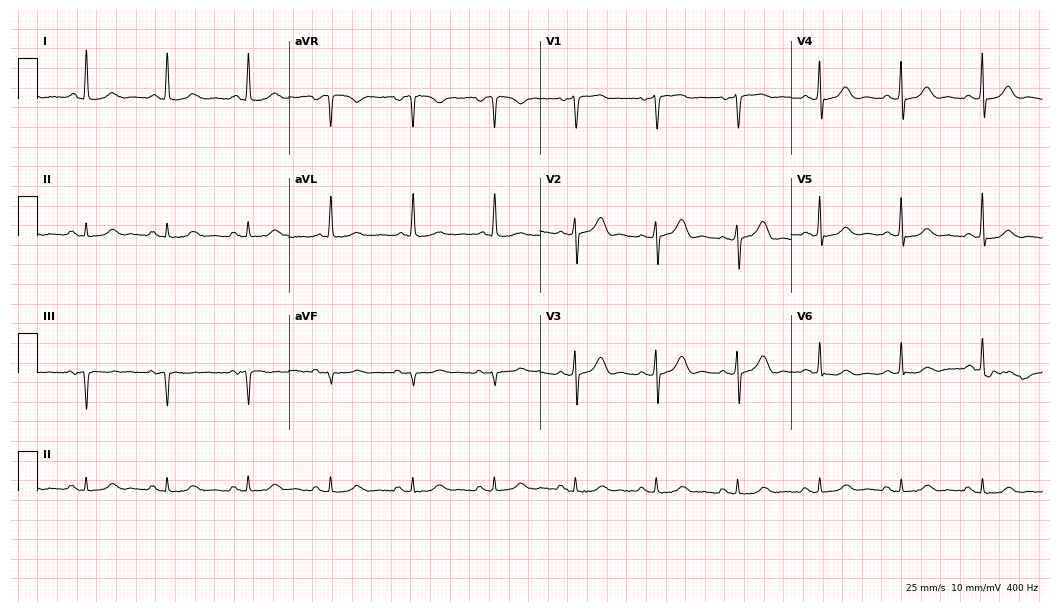
Resting 12-lead electrocardiogram. Patient: a female, 80 years old. None of these six findings is recorded: first-degree AV block, right bundle branch block, left bundle branch block, sinus bradycardia, atrial fibrillation, sinus tachycardia.